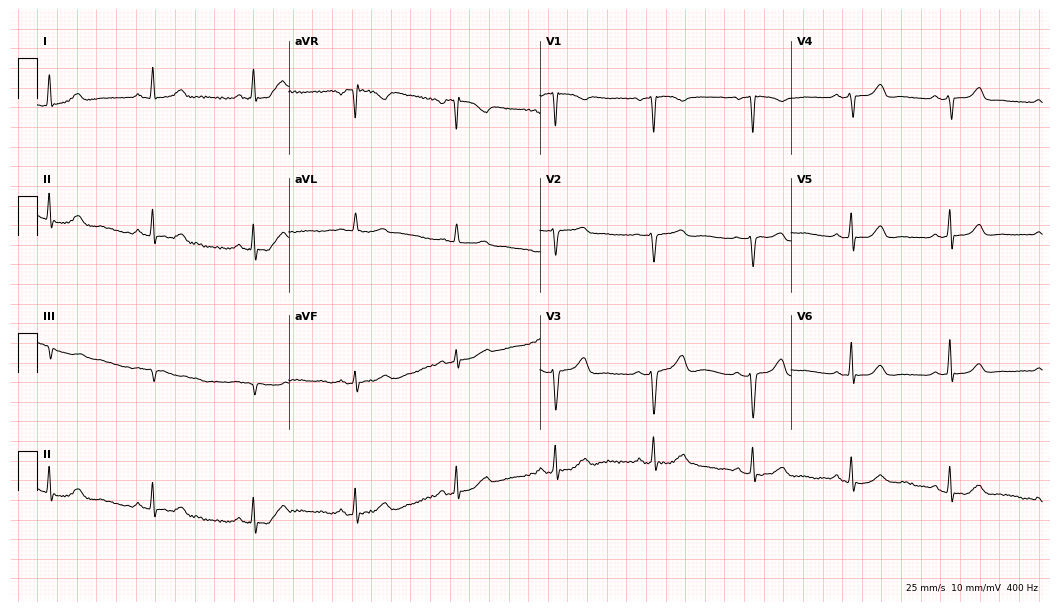
12-lead ECG from a female patient, 54 years old (10.2-second recording at 400 Hz). Recorded interpretation: within normal limits.